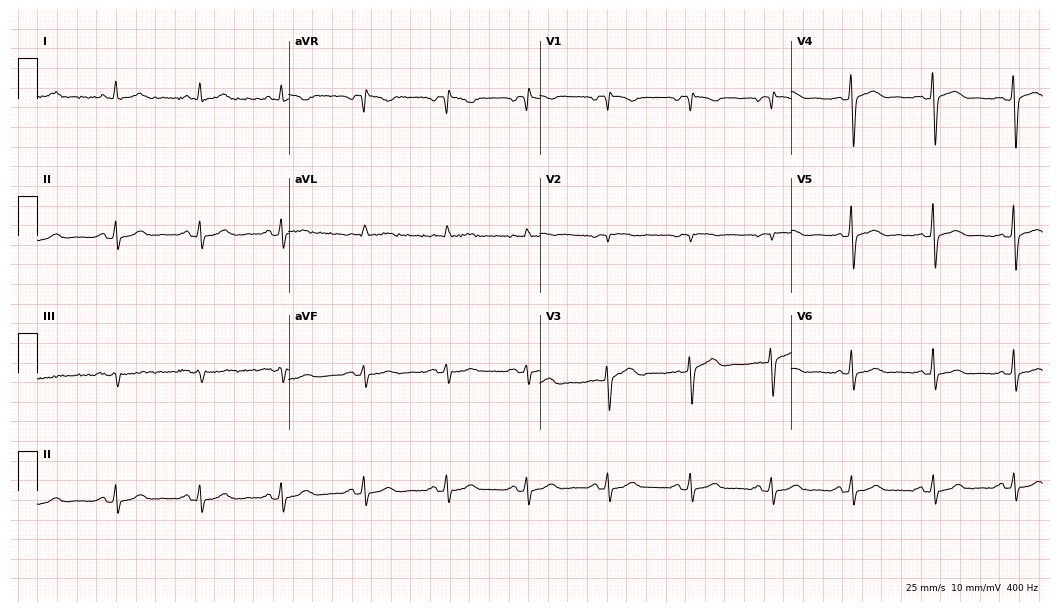
Electrocardiogram (10.2-second recording at 400 Hz), a 58-year-old female. Overall reading on record: normal ECG.